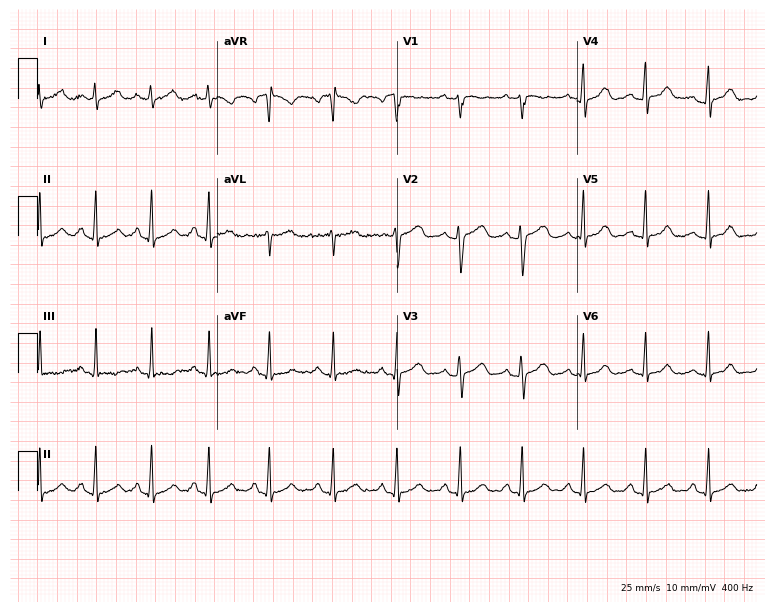
ECG — a 21-year-old woman. Labelled as a normal ECG.